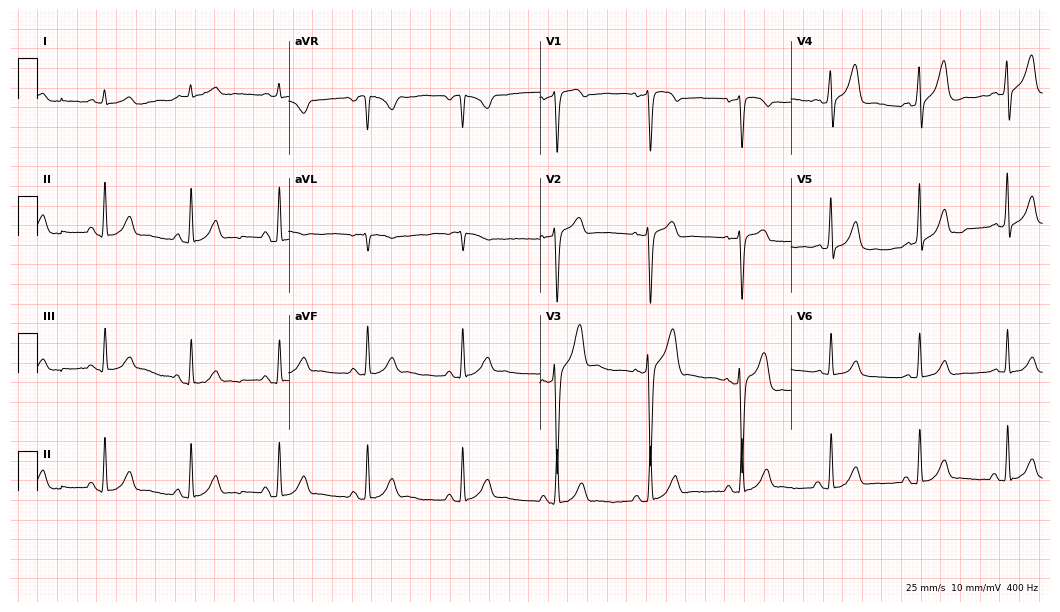
12-lead ECG (10.2-second recording at 400 Hz) from a male, 60 years old. Labelled as a normal ECG.